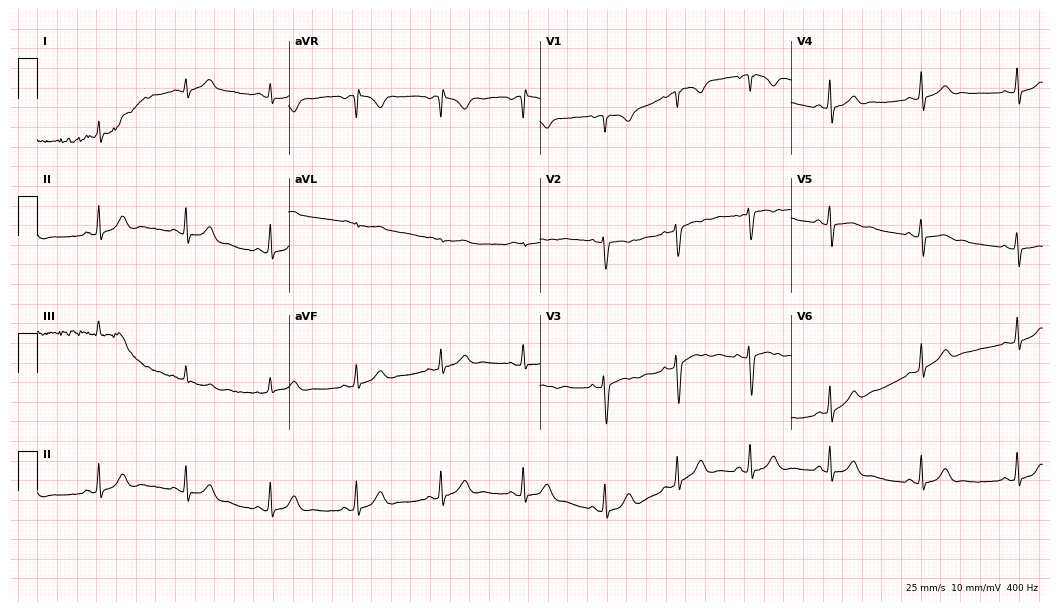
Standard 12-lead ECG recorded from a female patient, 22 years old (10.2-second recording at 400 Hz). Read as a normal ECG.